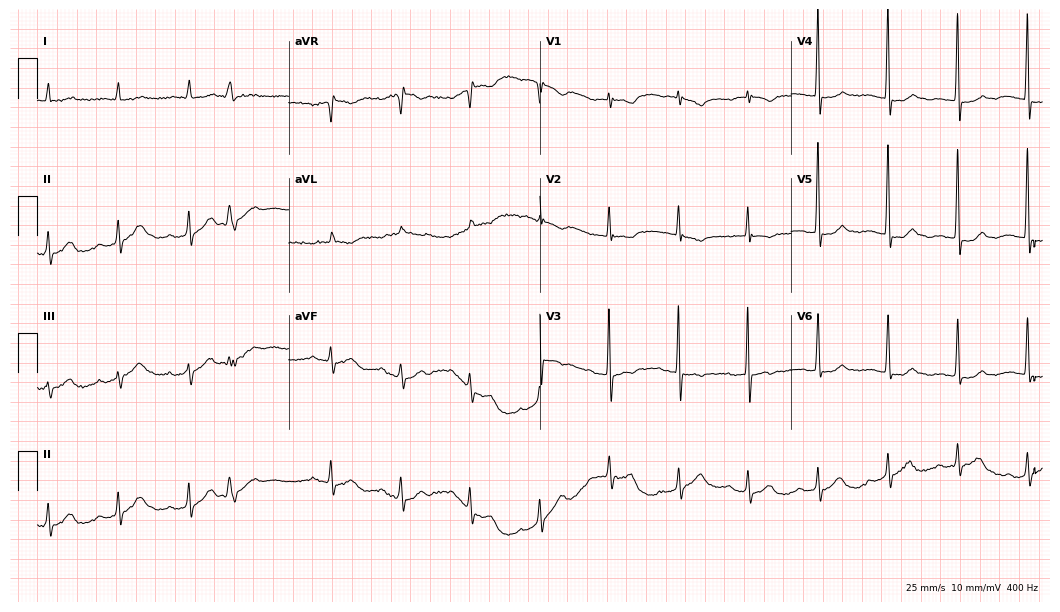
Resting 12-lead electrocardiogram (10.2-second recording at 400 Hz). Patient: a female, 82 years old. None of these six findings is recorded: first-degree AV block, right bundle branch block, left bundle branch block, sinus bradycardia, atrial fibrillation, sinus tachycardia.